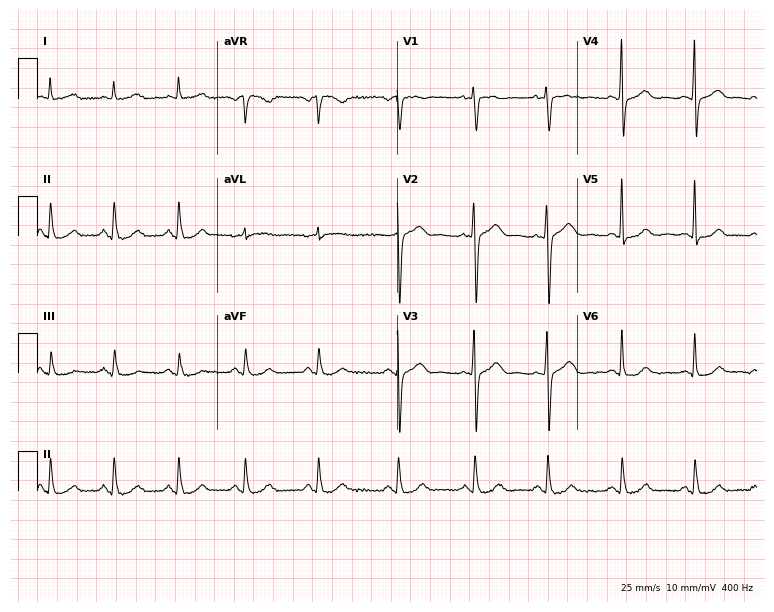
ECG — a 72-year-old woman. Screened for six findings — first-degree AV block, right bundle branch block, left bundle branch block, sinus bradycardia, atrial fibrillation, sinus tachycardia — none is recorded.